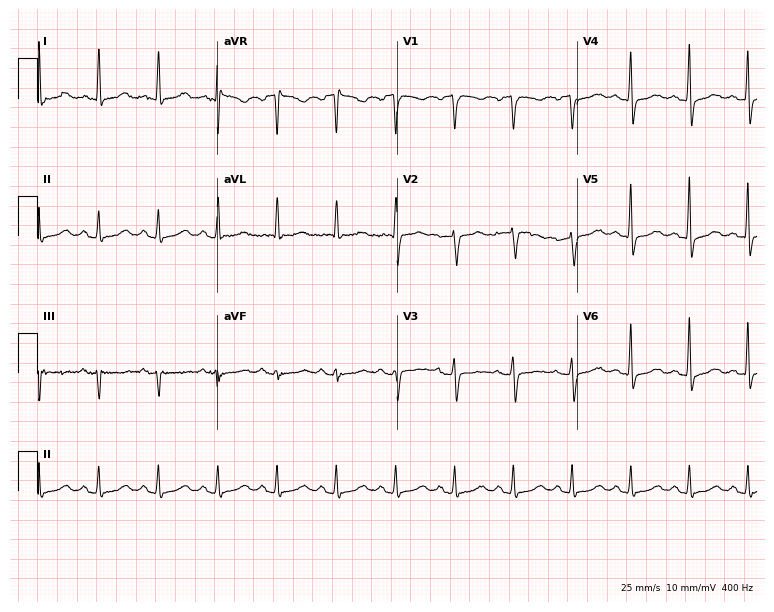
Electrocardiogram (7.3-second recording at 400 Hz), a 69-year-old woman. Overall reading on record: normal ECG.